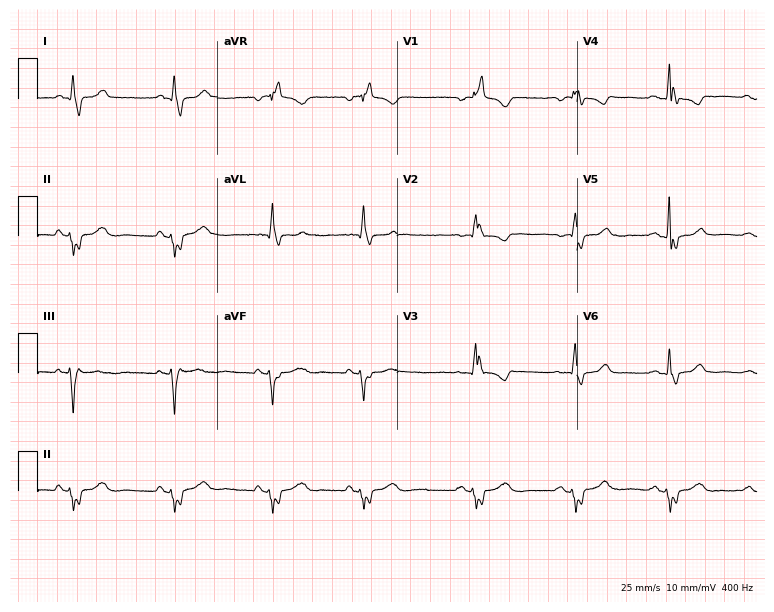
12-lead ECG from a female patient, 72 years old. Findings include right bundle branch block.